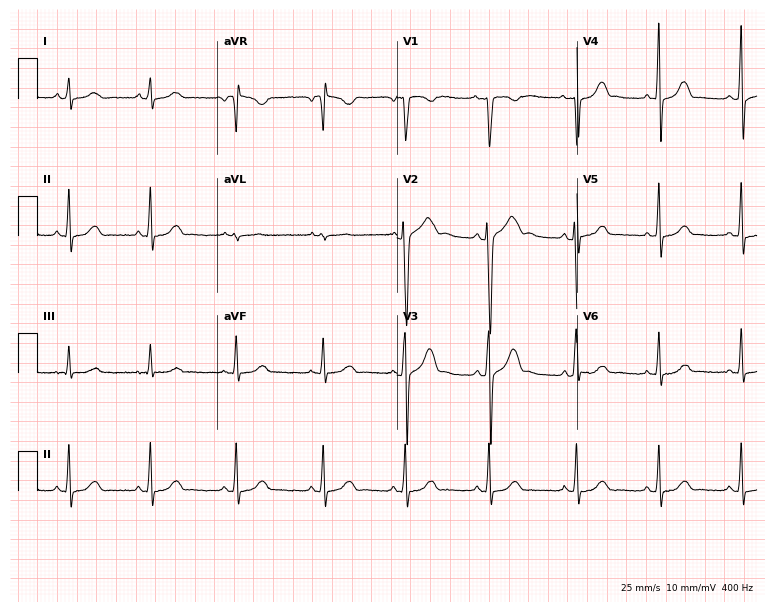
ECG — a 22-year-old woman. Screened for six findings — first-degree AV block, right bundle branch block (RBBB), left bundle branch block (LBBB), sinus bradycardia, atrial fibrillation (AF), sinus tachycardia — none is recorded. Only these six findings were labelled.